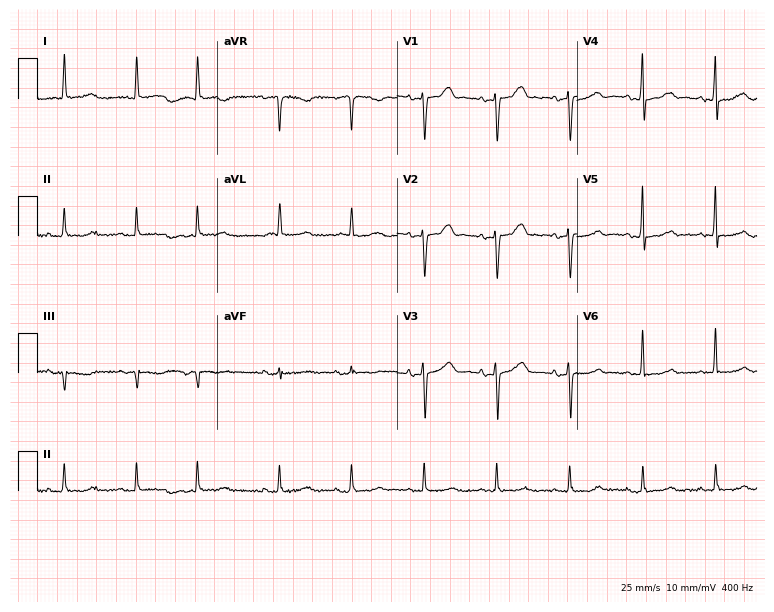
Standard 12-lead ECG recorded from a woman, 82 years old (7.3-second recording at 400 Hz). None of these six findings is recorded: first-degree AV block, right bundle branch block (RBBB), left bundle branch block (LBBB), sinus bradycardia, atrial fibrillation (AF), sinus tachycardia.